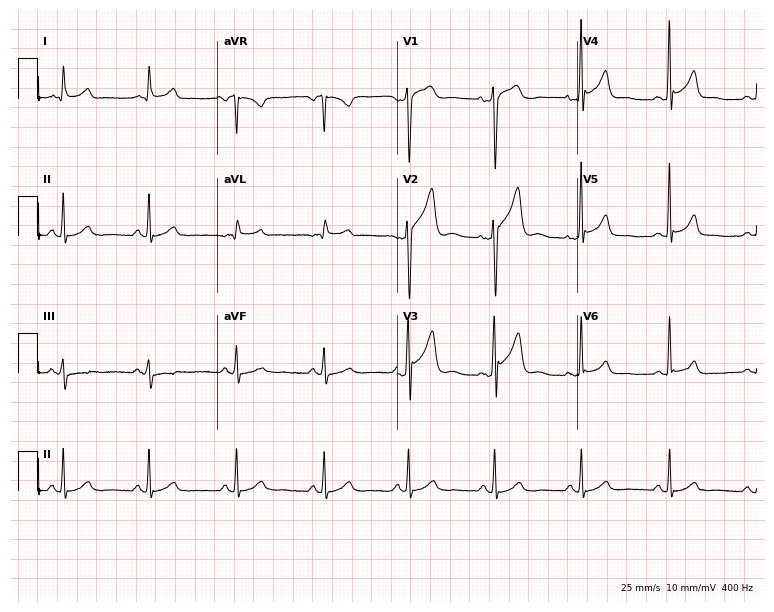
ECG (7.3-second recording at 400 Hz) — a male patient, 40 years old. Labelled as a normal ECG.